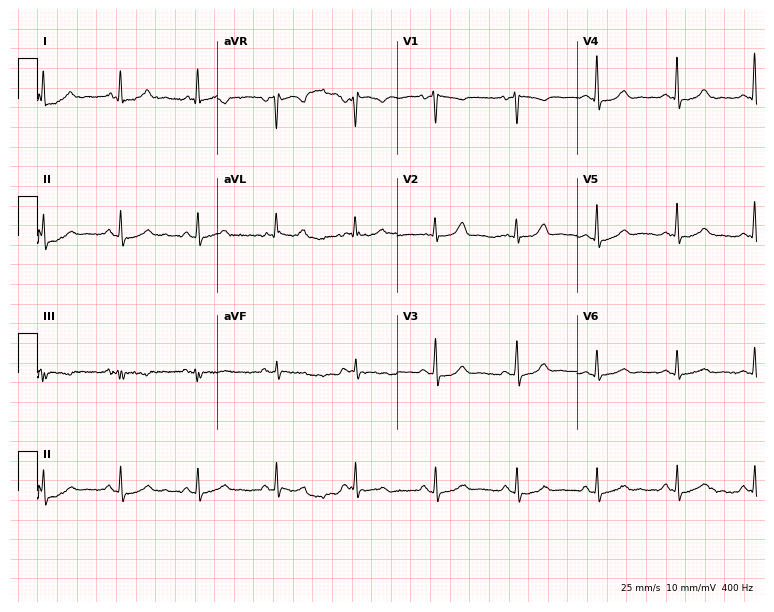
Resting 12-lead electrocardiogram (7.3-second recording at 400 Hz). Patient: a 66-year-old female. Read as a normal ECG.